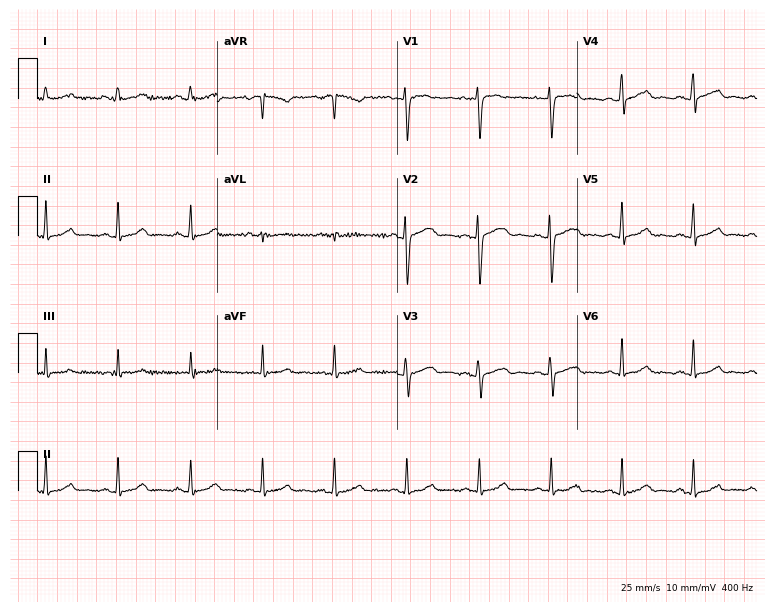
ECG — a female, 42 years old. Labelled as a normal ECG.